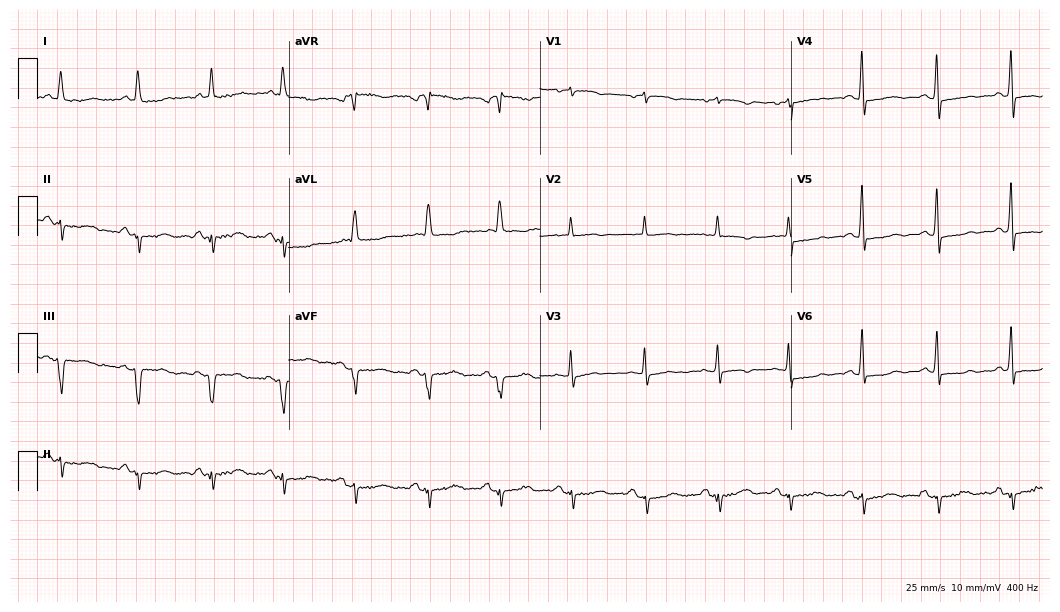
Electrocardiogram, a 63-year-old woman. Of the six screened findings (first-degree AV block, right bundle branch block, left bundle branch block, sinus bradycardia, atrial fibrillation, sinus tachycardia), none is recorded.